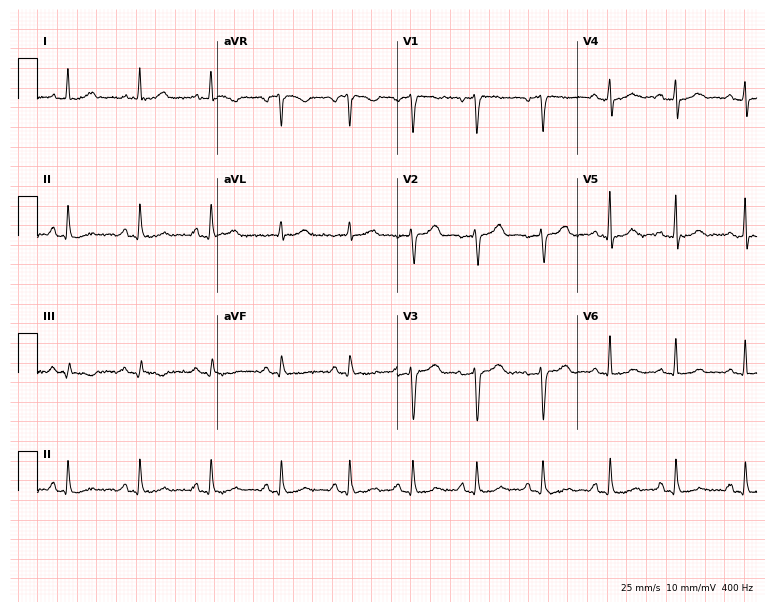
Resting 12-lead electrocardiogram (7.3-second recording at 400 Hz). Patient: a female, 57 years old. Read as a normal ECG.